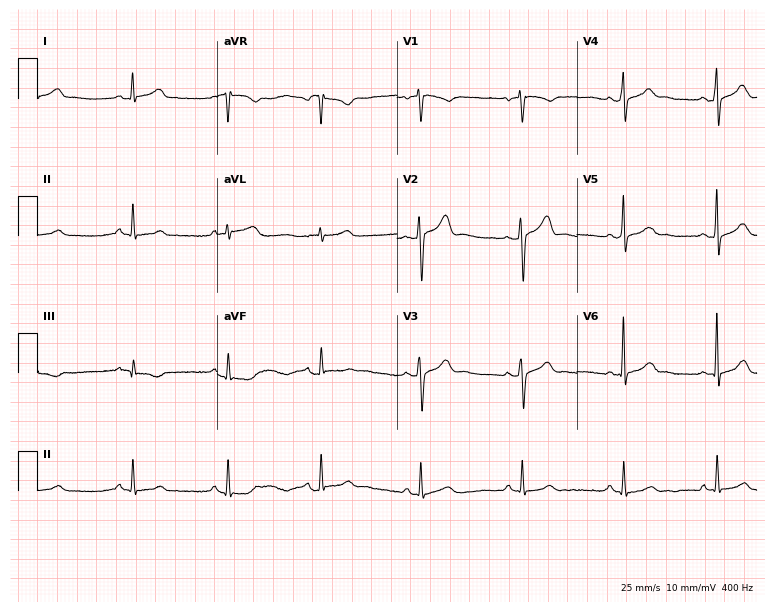
ECG — a 45-year-old man. Labelled as a normal ECG.